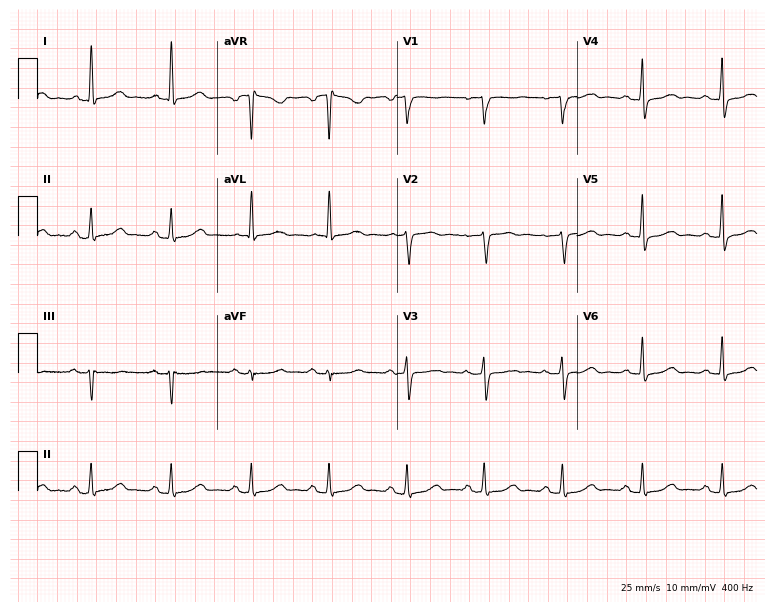
Resting 12-lead electrocardiogram (7.3-second recording at 400 Hz). Patient: a 69-year-old woman. None of these six findings is recorded: first-degree AV block, right bundle branch block, left bundle branch block, sinus bradycardia, atrial fibrillation, sinus tachycardia.